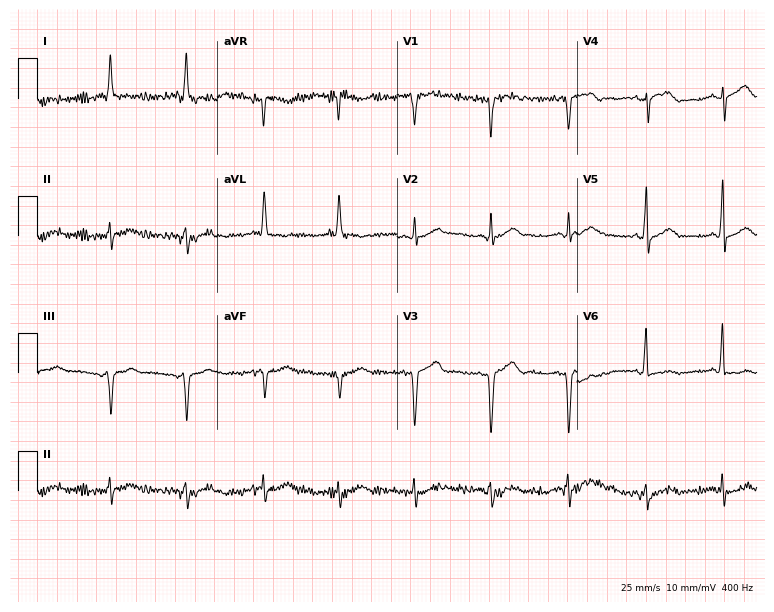
Electrocardiogram (7.3-second recording at 400 Hz), a 69-year-old male patient. Of the six screened findings (first-degree AV block, right bundle branch block, left bundle branch block, sinus bradycardia, atrial fibrillation, sinus tachycardia), none is recorded.